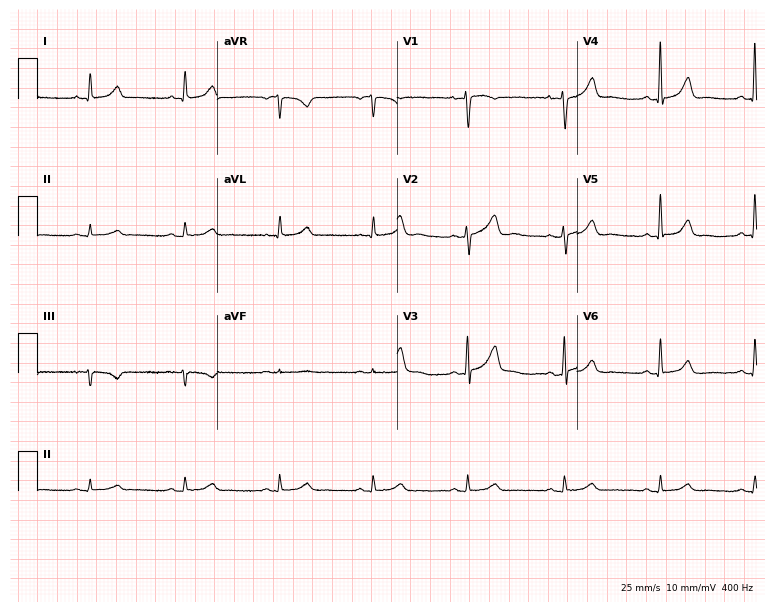
Electrocardiogram (7.3-second recording at 400 Hz), a female patient, 44 years old. Of the six screened findings (first-degree AV block, right bundle branch block (RBBB), left bundle branch block (LBBB), sinus bradycardia, atrial fibrillation (AF), sinus tachycardia), none is recorded.